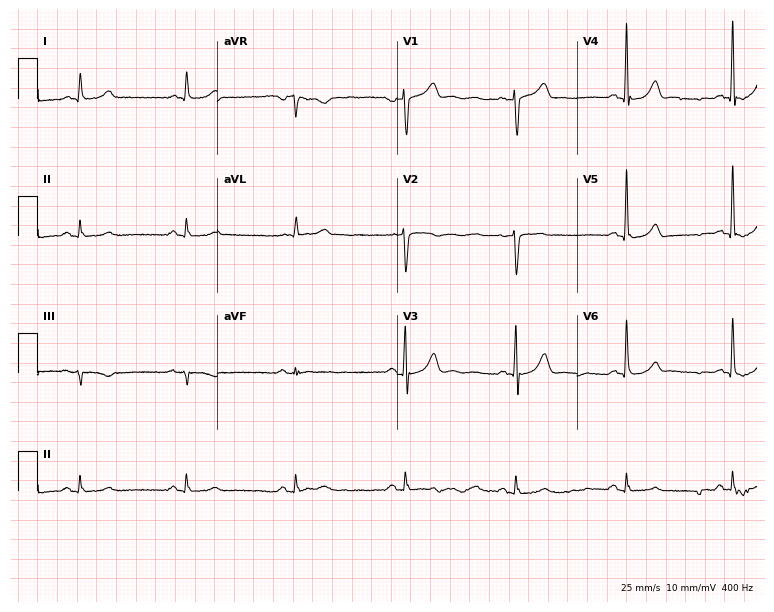
ECG — a male patient, 75 years old. Labelled as a normal ECG.